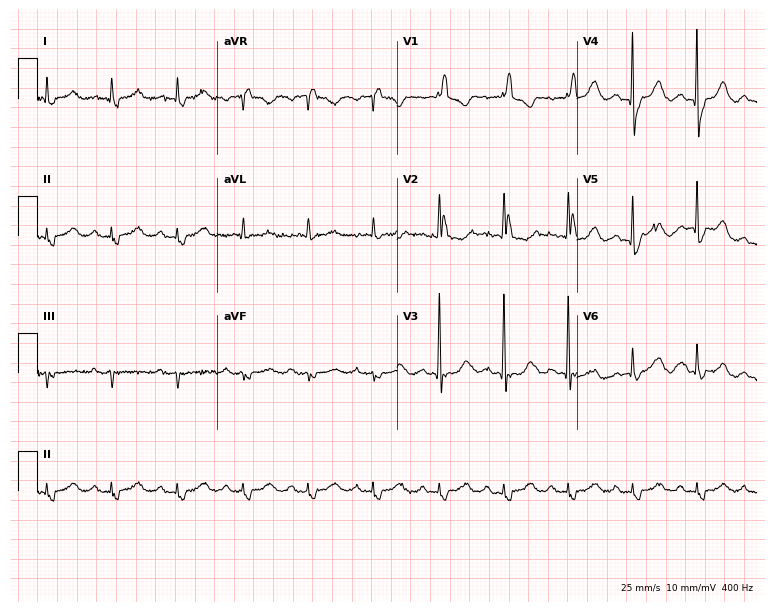
Standard 12-lead ECG recorded from a female, 65 years old (7.3-second recording at 400 Hz). The tracing shows right bundle branch block.